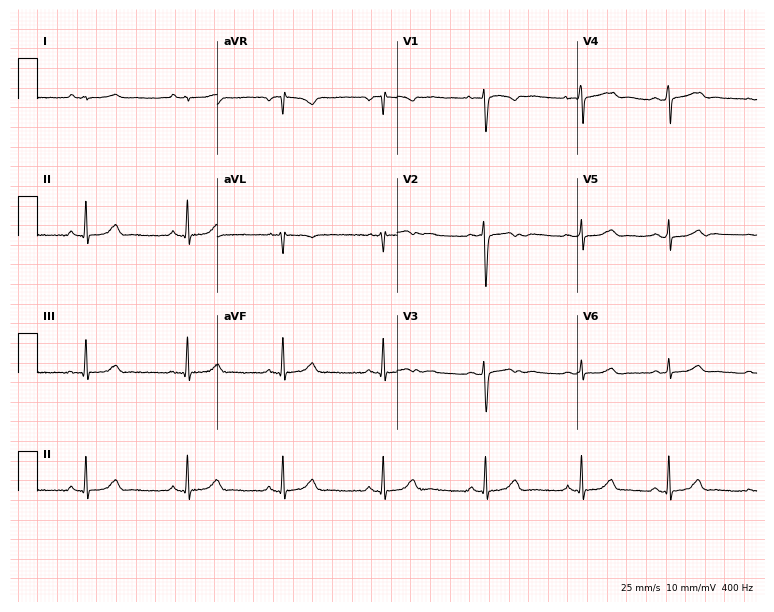
12-lead ECG from a woman, 19 years old (7.3-second recording at 400 Hz). No first-degree AV block, right bundle branch block, left bundle branch block, sinus bradycardia, atrial fibrillation or sinus tachycardia recorded for this tracing.